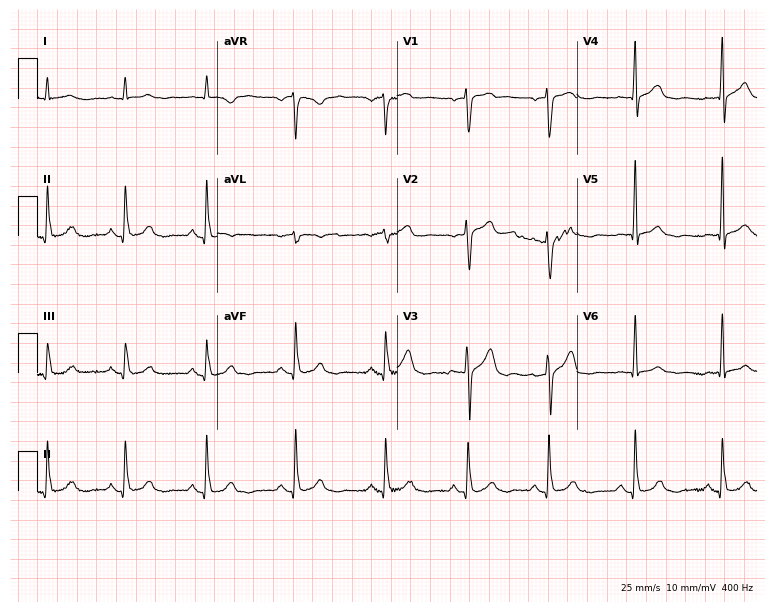
Standard 12-lead ECG recorded from a 63-year-old male (7.3-second recording at 400 Hz). None of these six findings is recorded: first-degree AV block, right bundle branch block, left bundle branch block, sinus bradycardia, atrial fibrillation, sinus tachycardia.